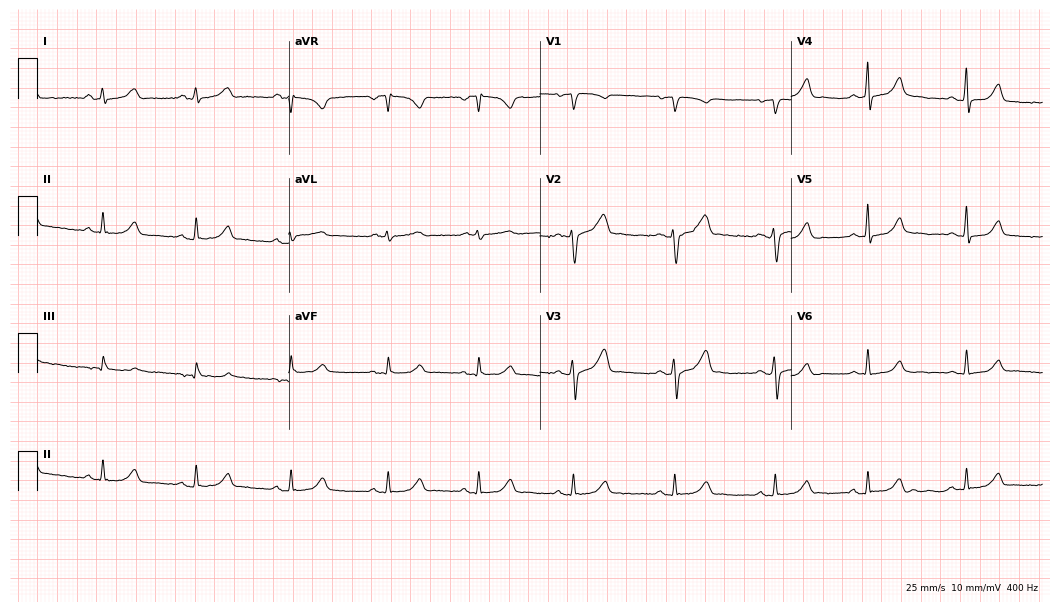
Standard 12-lead ECG recorded from a 30-year-old woman. Read as a normal ECG.